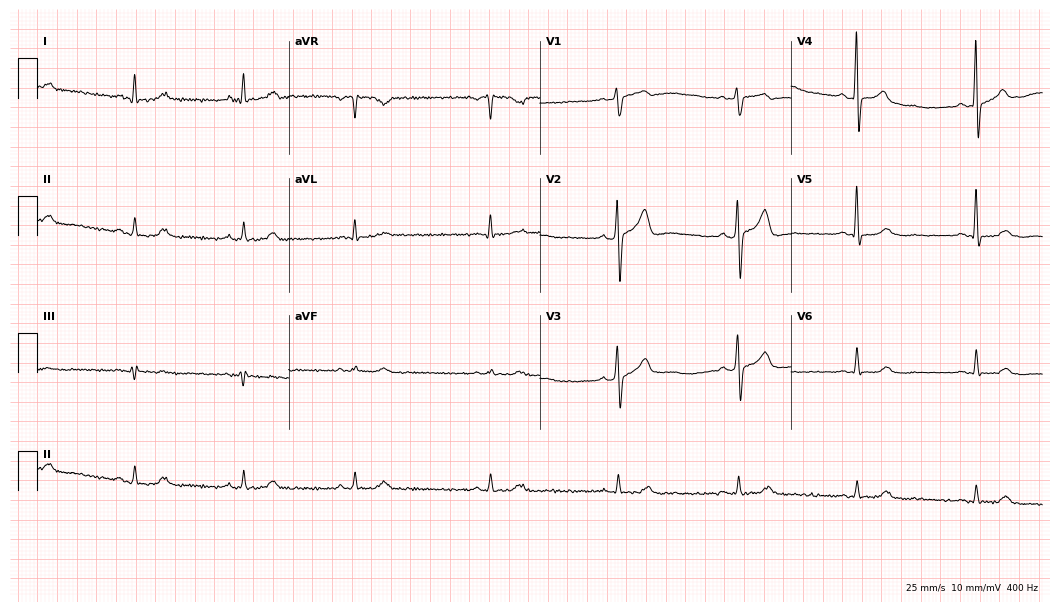
12-lead ECG from a man, 61 years old (10.2-second recording at 400 Hz). Recorded interpretation: within normal limits.